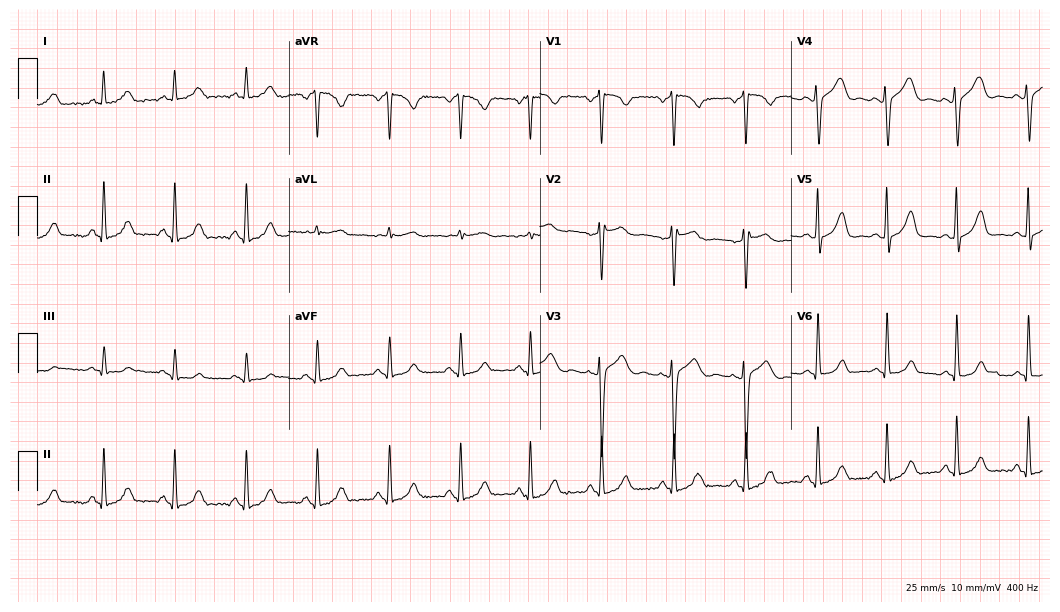
12-lead ECG from a woman, 54 years old. Recorded interpretation: within normal limits.